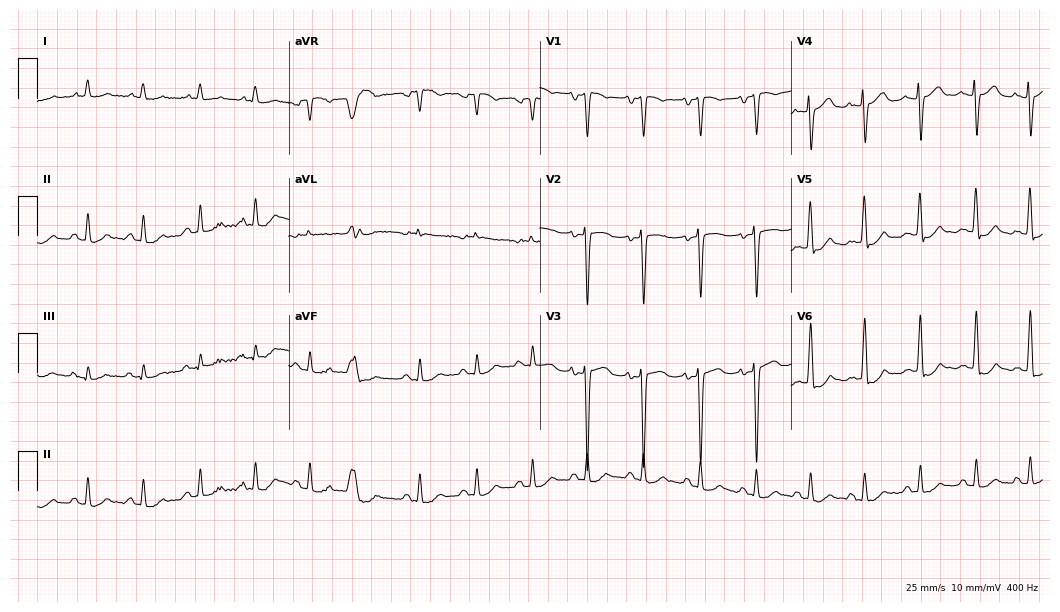
Electrocardiogram (10.2-second recording at 400 Hz), a female patient, 56 years old. Interpretation includes sinus tachycardia (a sinus rate of 100 beats per minute or more).